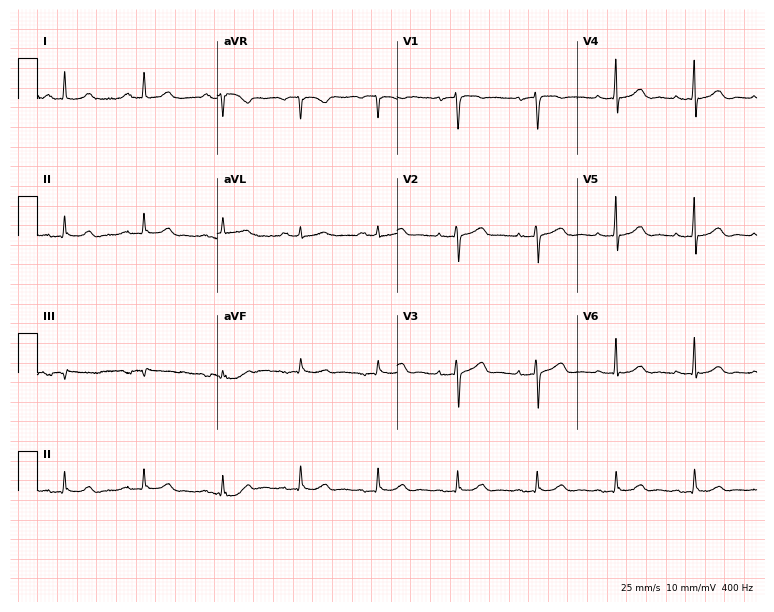
12-lead ECG from a female, 70 years old. Screened for six findings — first-degree AV block, right bundle branch block, left bundle branch block, sinus bradycardia, atrial fibrillation, sinus tachycardia — none is recorded. Findings outside these six are not listed.